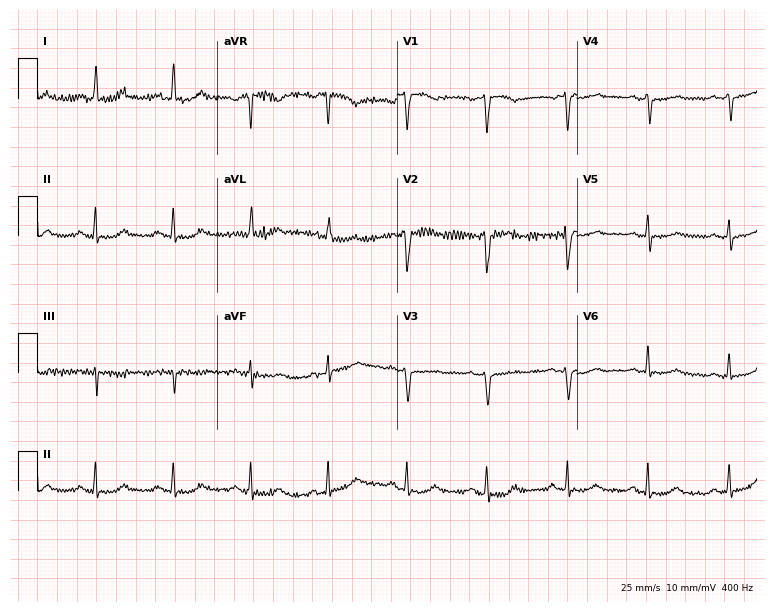
ECG — a 48-year-old female. Screened for six findings — first-degree AV block, right bundle branch block, left bundle branch block, sinus bradycardia, atrial fibrillation, sinus tachycardia — none is recorded. Other findings, if any, are not listed.